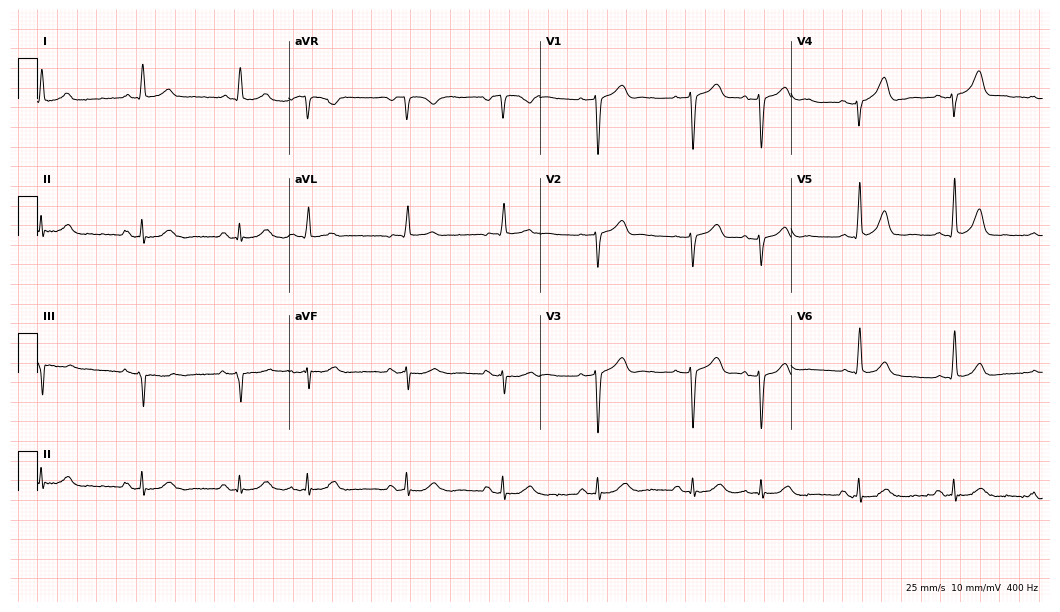
Standard 12-lead ECG recorded from a 74-year-old male. None of these six findings is recorded: first-degree AV block, right bundle branch block, left bundle branch block, sinus bradycardia, atrial fibrillation, sinus tachycardia.